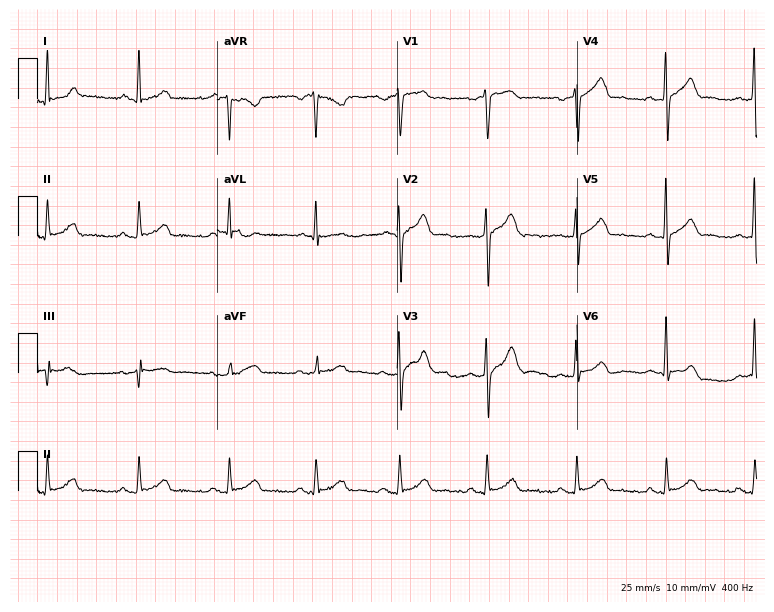
12-lead ECG from a male patient, 60 years old. Recorded interpretation: within normal limits.